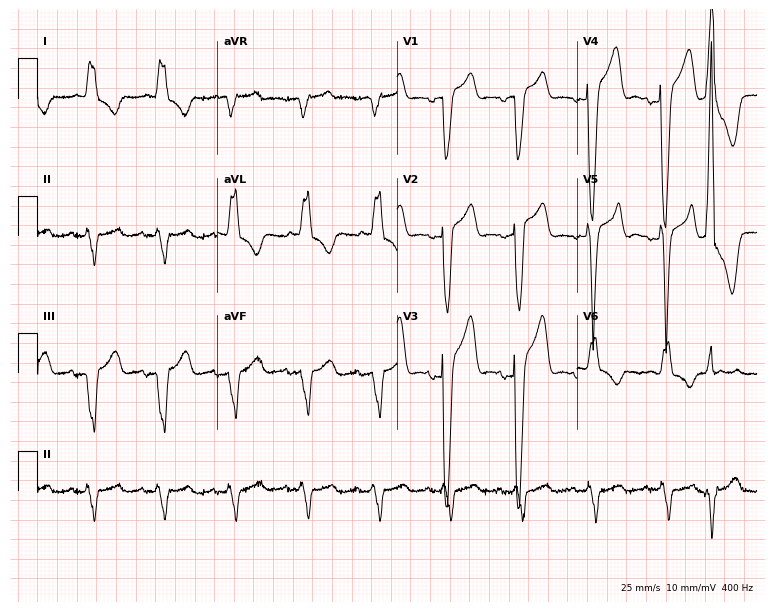
Resting 12-lead electrocardiogram (7.3-second recording at 400 Hz). Patient: a male, 83 years old. The tracing shows left bundle branch block (LBBB).